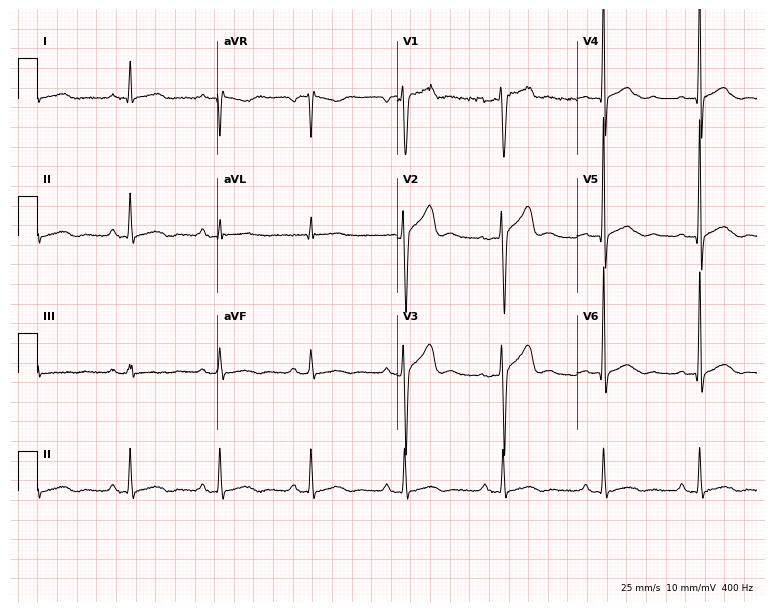
12-lead ECG from a male, 42 years old. Screened for six findings — first-degree AV block, right bundle branch block, left bundle branch block, sinus bradycardia, atrial fibrillation, sinus tachycardia — none is recorded. Other findings, if any, are not listed.